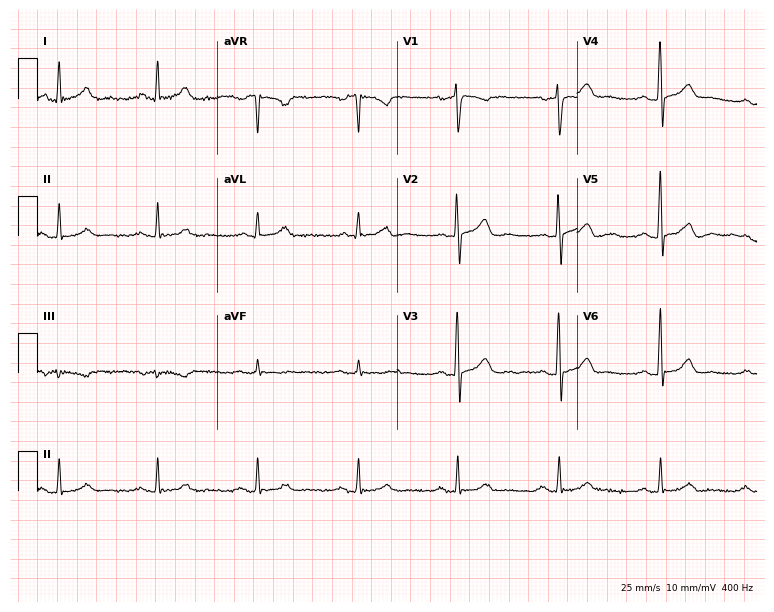
ECG — a 47-year-old male patient. Screened for six findings — first-degree AV block, right bundle branch block, left bundle branch block, sinus bradycardia, atrial fibrillation, sinus tachycardia — none is recorded. Only these six findings were labelled.